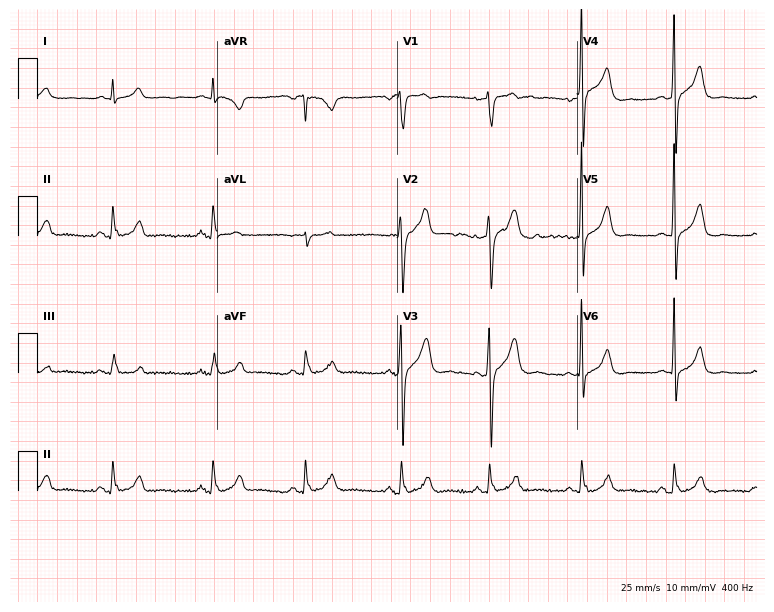
12-lead ECG from a man, 26 years old. Screened for six findings — first-degree AV block, right bundle branch block, left bundle branch block, sinus bradycardia, atrial fibrillation, sinus tachycardia — none is recorded. Only these six findings were labelled.